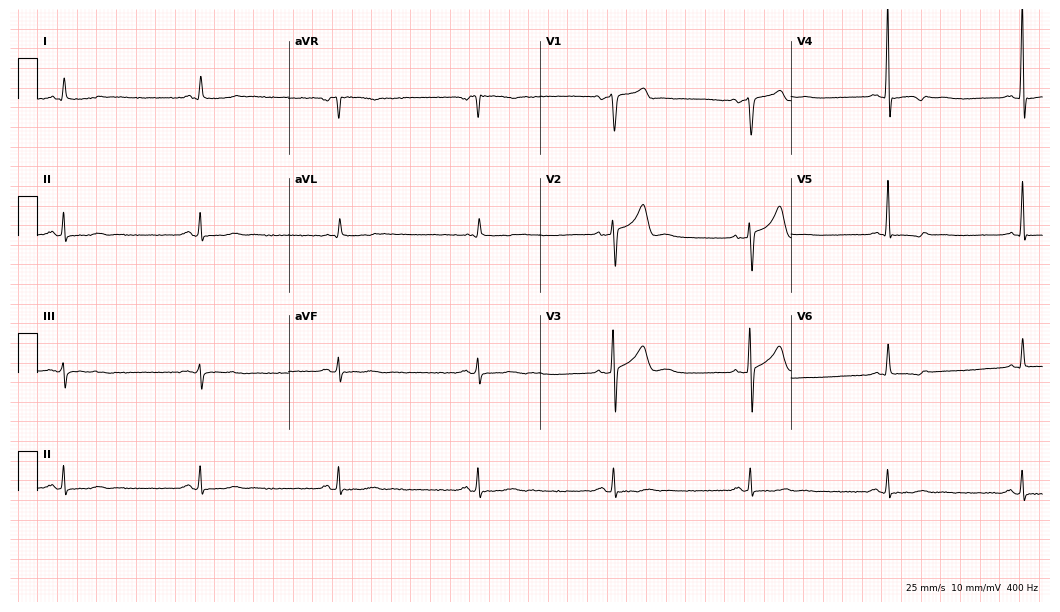
12-lead ECG from a 59-year-old man (10.2-second recording at 400 Hz). Shows sinus bradycardia (a sinus rate of 50 beats per minute or less).